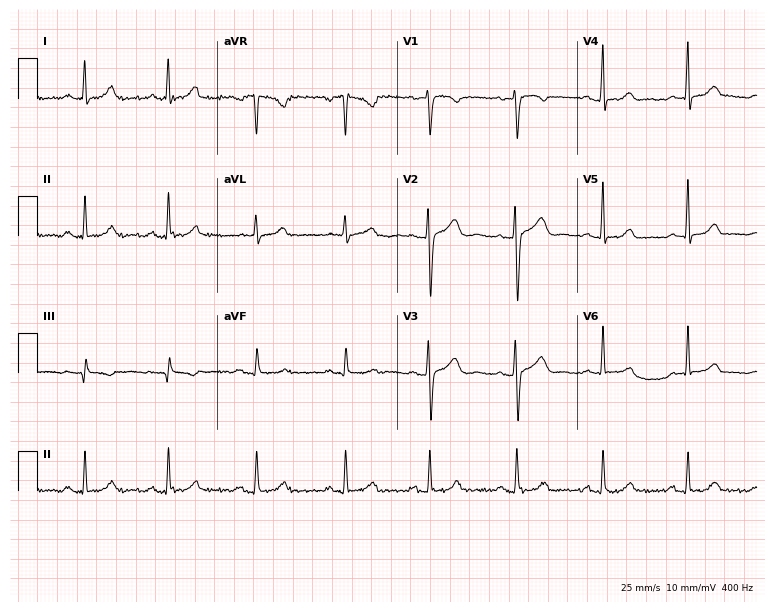
ECG (7.3-second recording at 400 Hz) — a female patient, 35 years old. Labelled as a normal ECG.